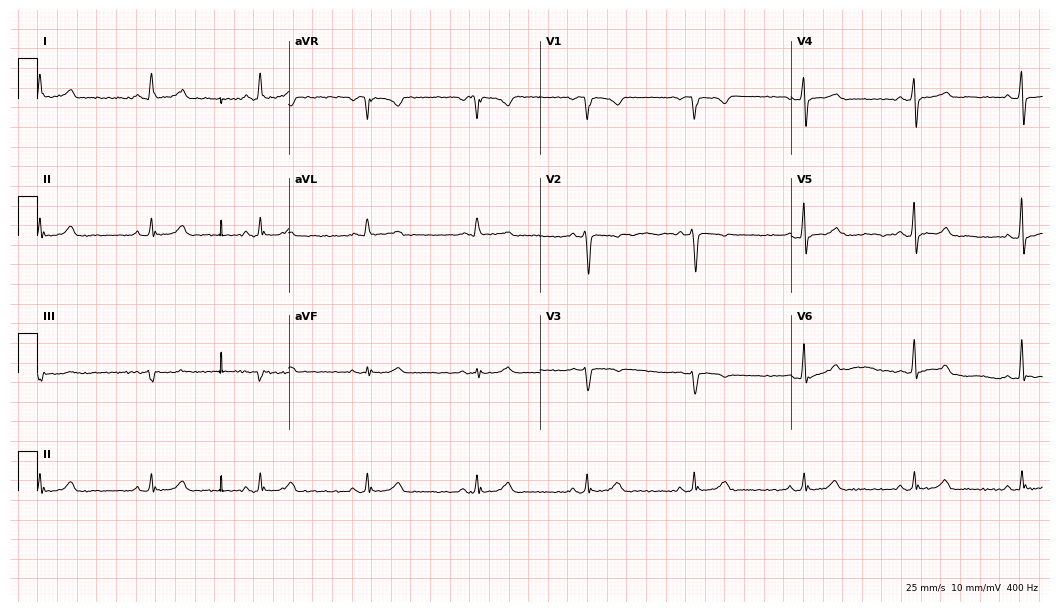
Standard 12-lead ECG recorded from a male, 57 years old (10.2-second recording at 400 Hz). None of these six findings is recorded: first-degree AV block, right bundle branch block, left bundle branch block, sinus bradycardia, atrial fibrillation, sinus tachycardia.